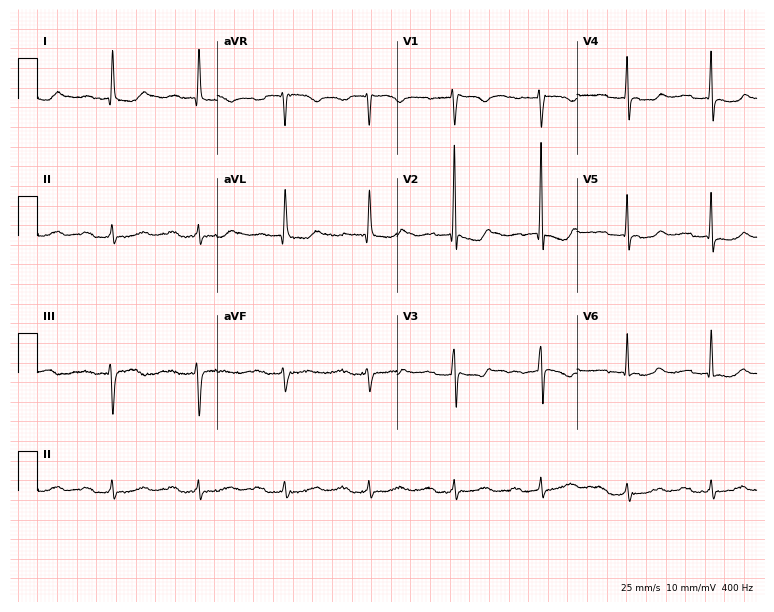
ECG (7.3-second recording at 400 Hz) — a 56-year-old female patient. Findings include first-degree AV block.